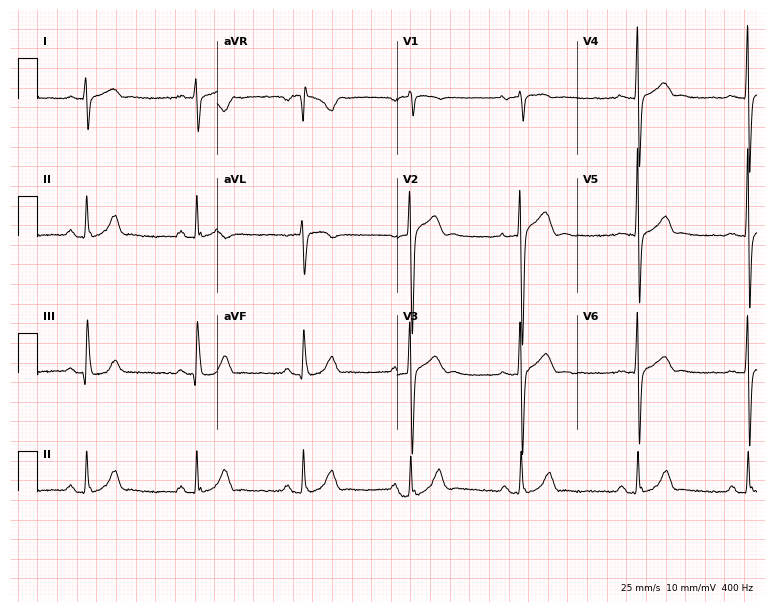
ECG — a 38-year-old male patient. Labelled as a normal ECG.